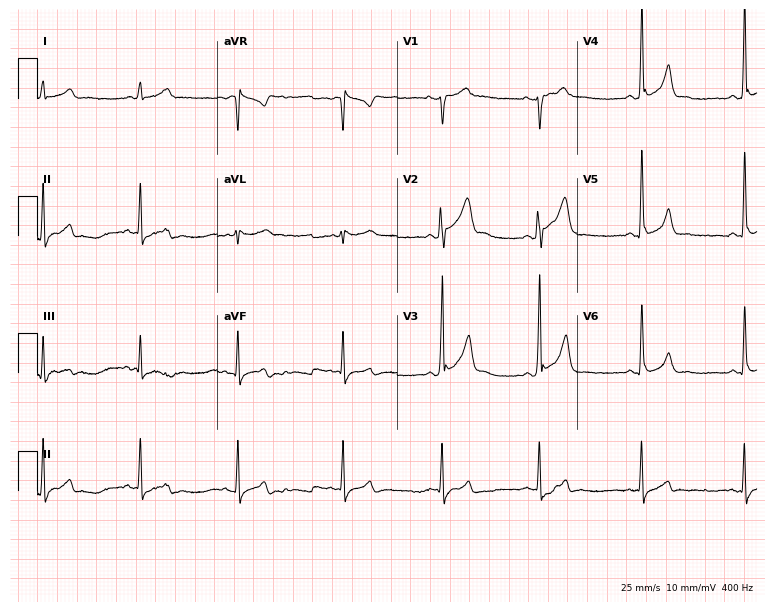
ECG (7.3-second recording at 400 Hz) — a male patient, 18 years old. Screened for six findings — first-degree AV block, right bundle branch block, left bundle branch block, sinus bradycardia, atrial fibrillation, sinus tachycardia — none is recorded. Findings outside these six are not listed.